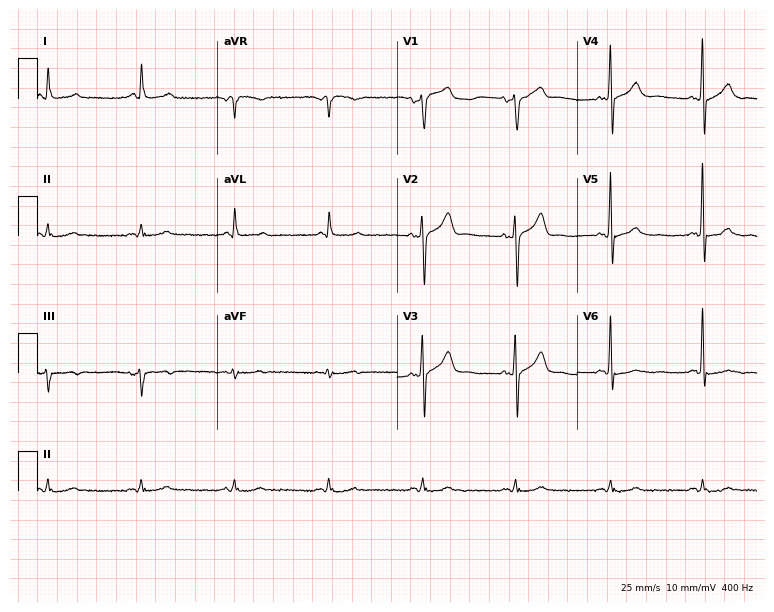
ECG — a man, 62 years old. Labelled as a normal ECG.